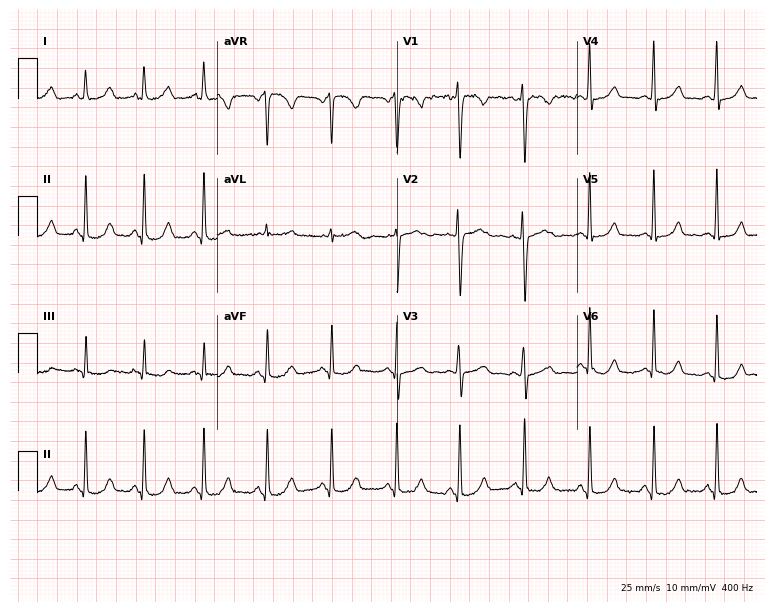
12-lead ECG from a 34-year-old female. Recorded interpretation: within normal limits.